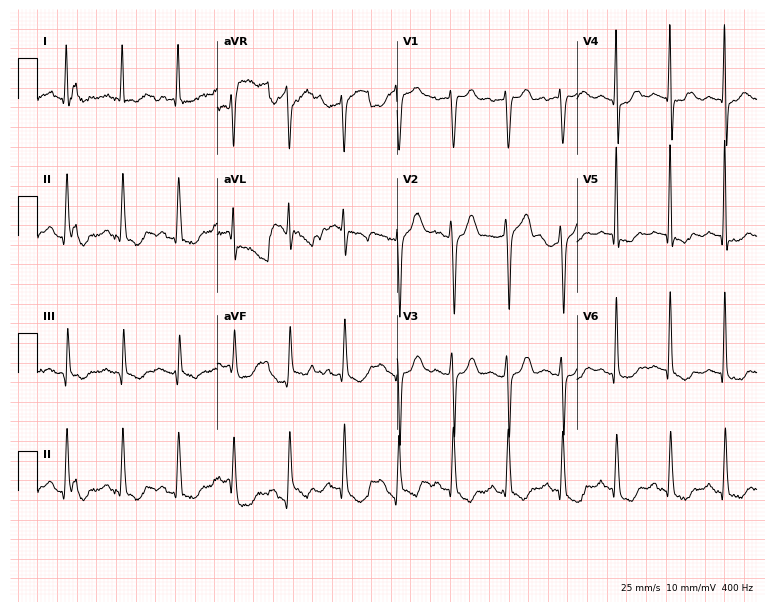
12-lead ECG (7.3-second recording at 400 Hz) from a 73-year-old man. Screened for six findings — first-degree AV block, right bundle branch block, left bundle branch block, sinus bradycardia, atrial fibrillation, sinus tachycardia — none is recorded.